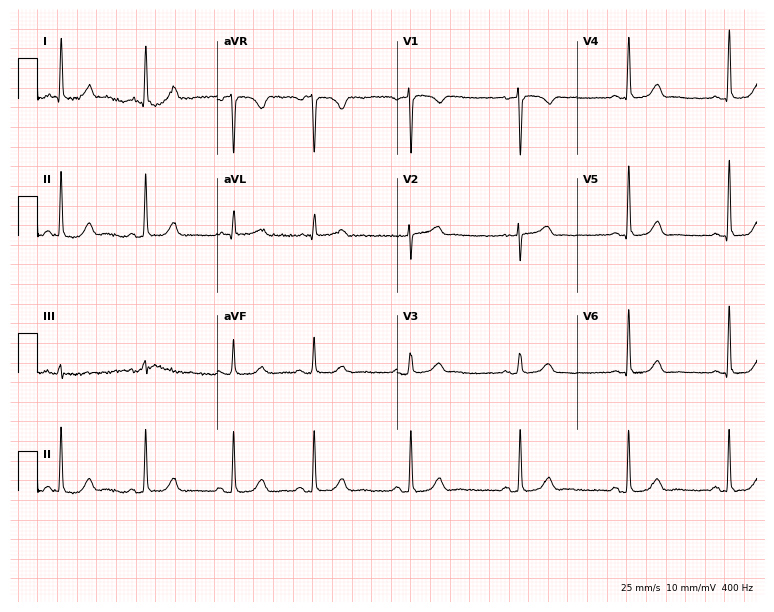
Resting 12-lead electrocardiogram. Patient: a female, 47 years old. Read as a normal ECG.